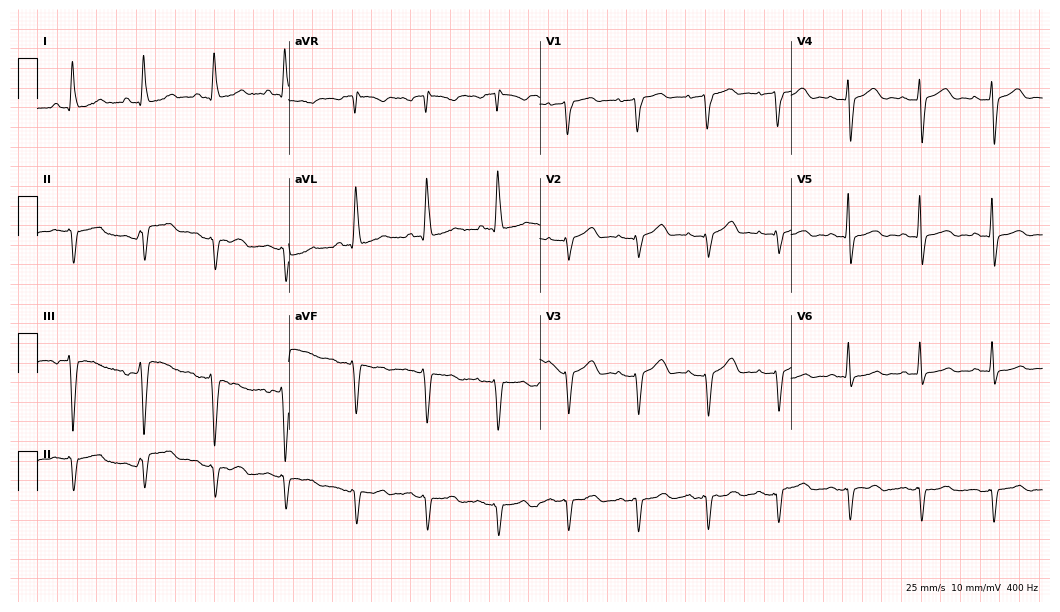
Electrocardiogram, a woman, 54 years old. Of the six screened findings (first-degree AV block, right bundle branch block, left bundle branch block, sinus bradycardia, atrial fibrillation, sinus tachycardia), none is recorded.